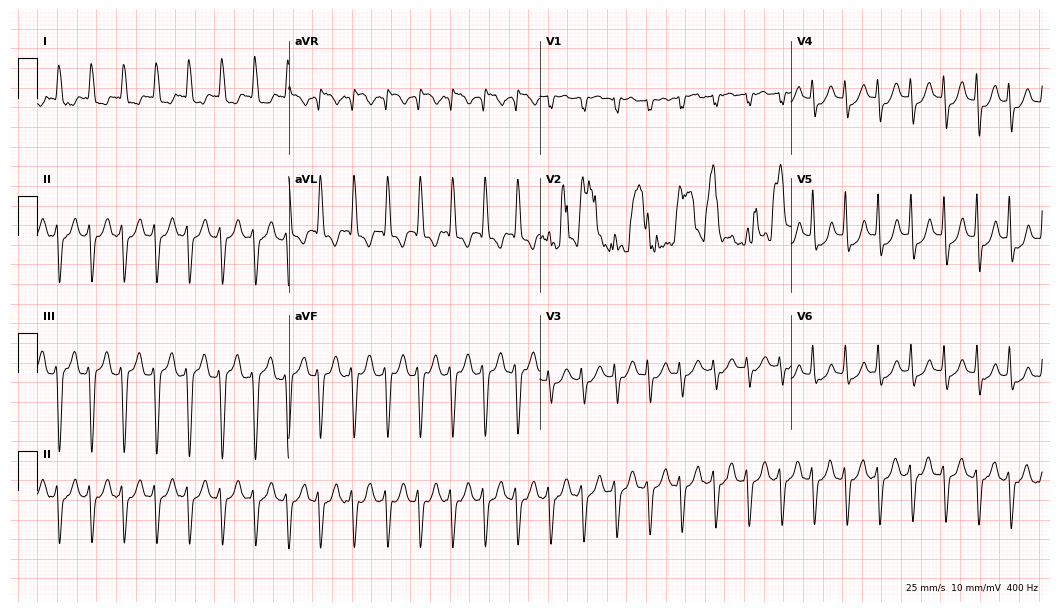
Resting 12-lead electrocardiogram (10.2-second recording at 400 Hz). Patient: a female, 82 years old. The tracing shows sinus tachycardia (a sinus rate of 100 beats per minute or more).